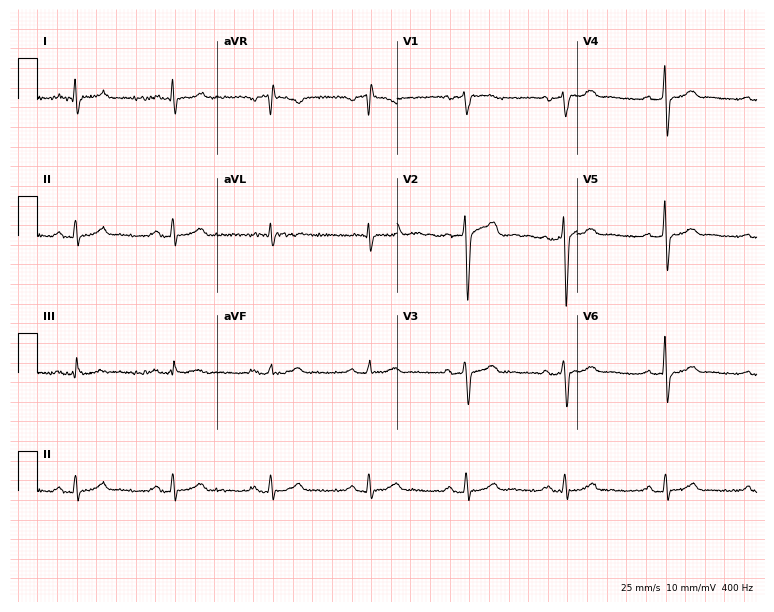
12-lead ECG from a 54-year-old man. Shows first-degree AV block.